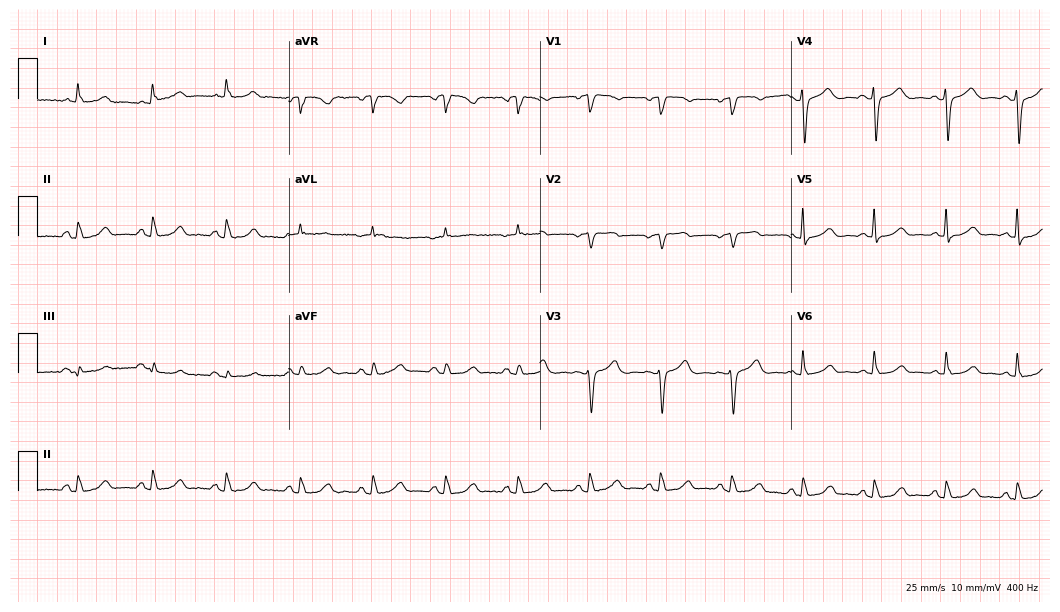
Standard 12-lead ECG recorded from a 76-year-old woman (10.2-second recording at 400 Hz). None of these six findings is recorded: first-degree AV block, right bundle branch block (RBBB), left bundle branch block (LBBB), sinus bradycardia, atrial fibrillation (AF), sinus tachycardia.